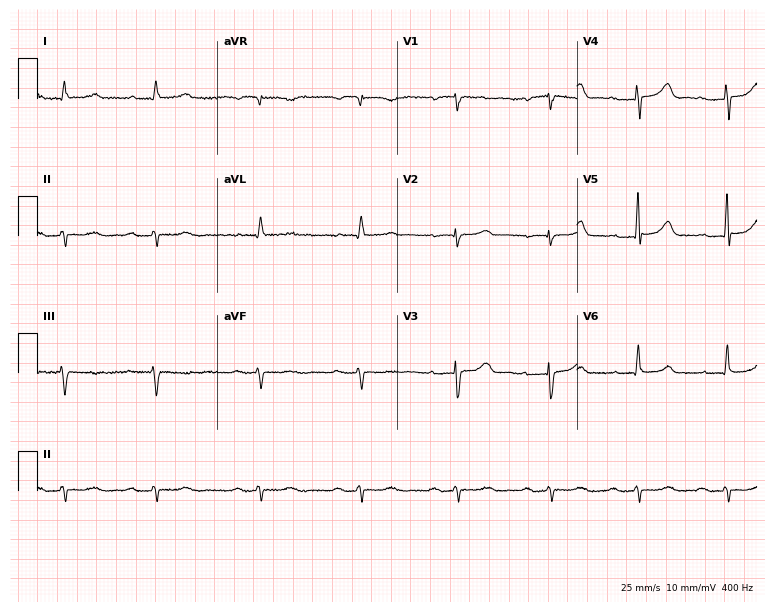
Electrocardiogram, a female patient, 77 years old. Interpretation includes first-degree AV block.